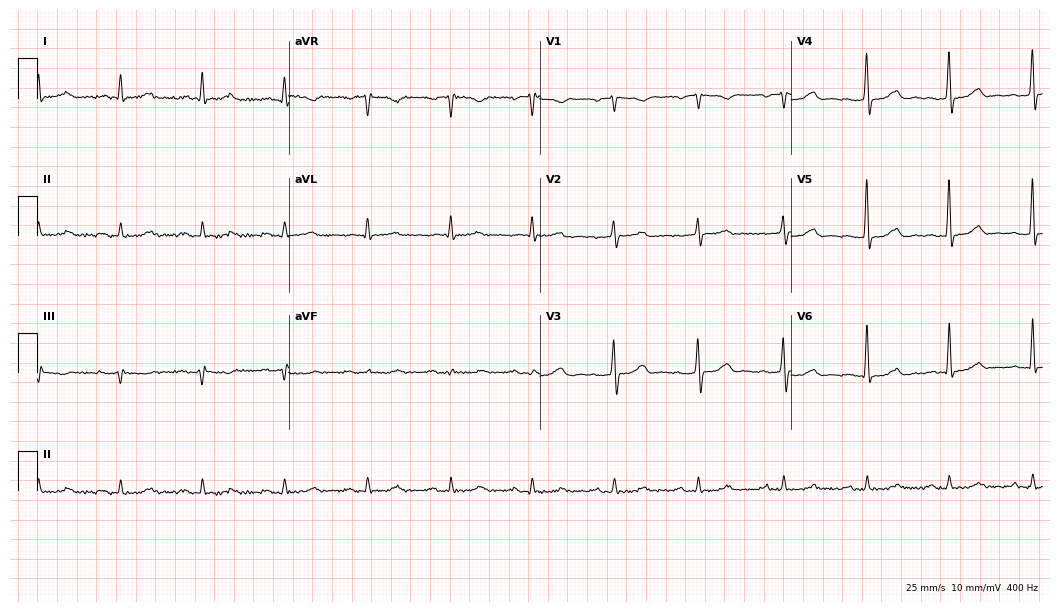
Standard 12-lead ECG recorded from a 77-year-old male patient. Read as a normal ECG.